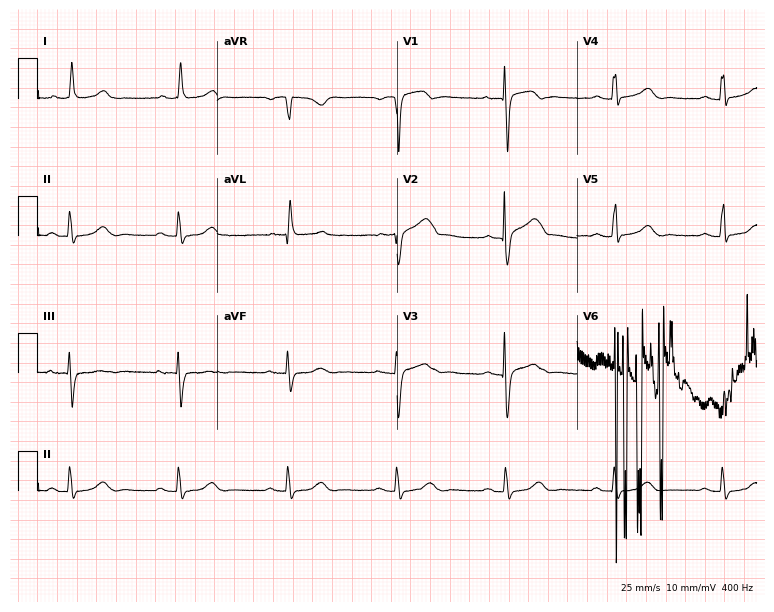
Electrocardiogram, a 76-year-old female patient. Of the six screened findings (first-degree AV block, right bundle branch block, left bundle branch block, sinus bradycardia, atrial fibrillation, sinus tachycardia), none is recorded. Findings outside these six are not listed.